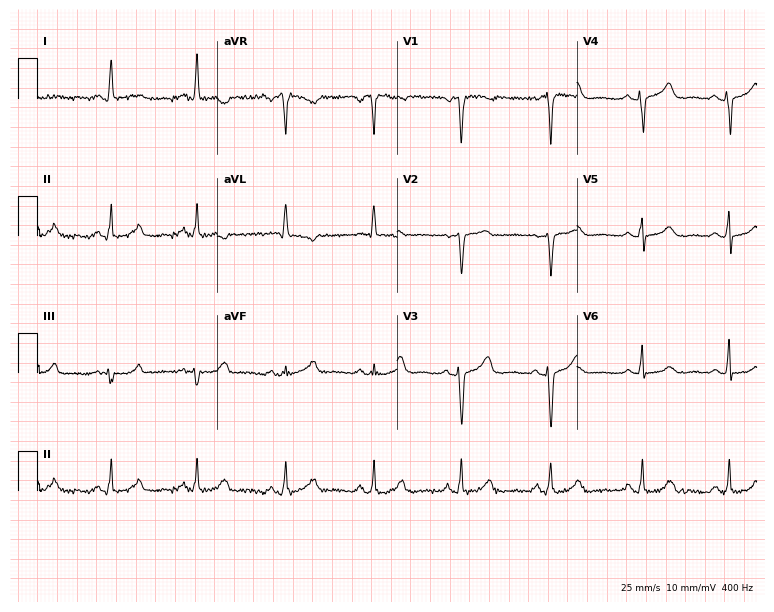
Standard 12-lead ECG recorded from a 51-year-old woman (7.3-second recording at 400 Hz). None of these six findings is recorded: first-degree AV block, right bundle branch block (RBBB), left bundle branch block (LBBB), sinus bradycardia, atrial fibrillation (AF), sinus tachycardia. Findings outside these six are not listed.